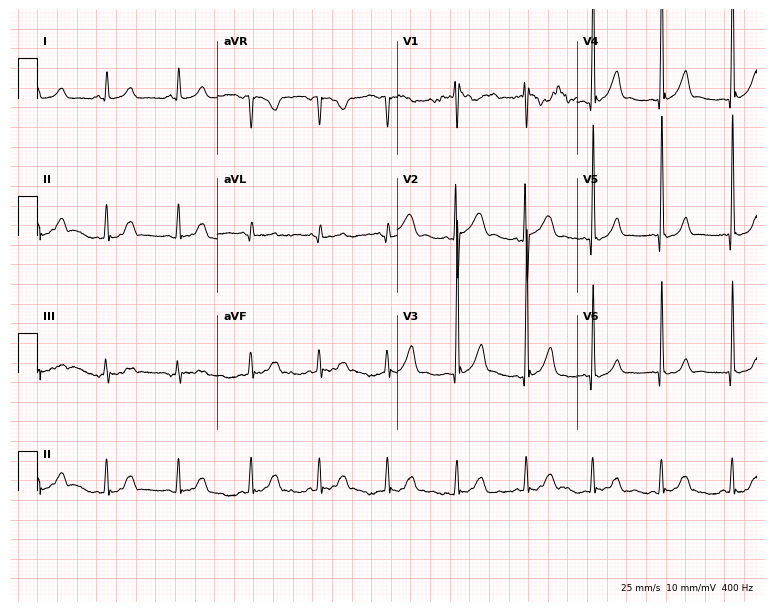
Electrocardiogram (7.3-second recording at 400 Hz), a male, 17 years old. Overall reading on record: normal ECG.